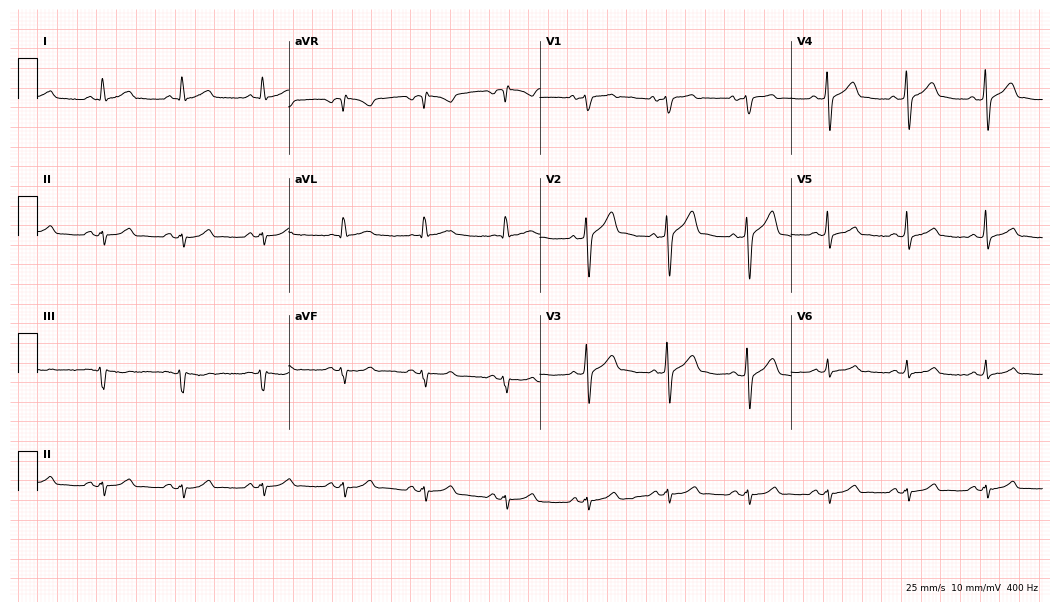
Electrocardiogram, a man, 48 years old. Of the six screened findings (first-degree AV block, right bundle branch block, left bundle branch block, sinus bradycardia, atrial fibrillation, sinus tachycardia), none is recorded. Only these six findings were labelled.